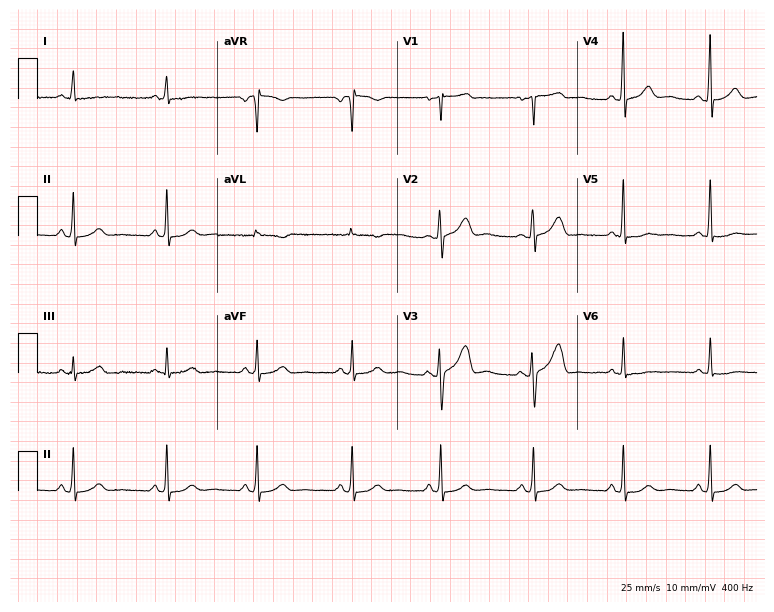
Resting 12-lead electrocardiogram. Patient: a female, 38 years old. None of these six findings is recorded: first-degree AV block, right bundle branch block, left bundle branch block, sinus bradycardia, atrial fibrillation, sinus tachycardia.